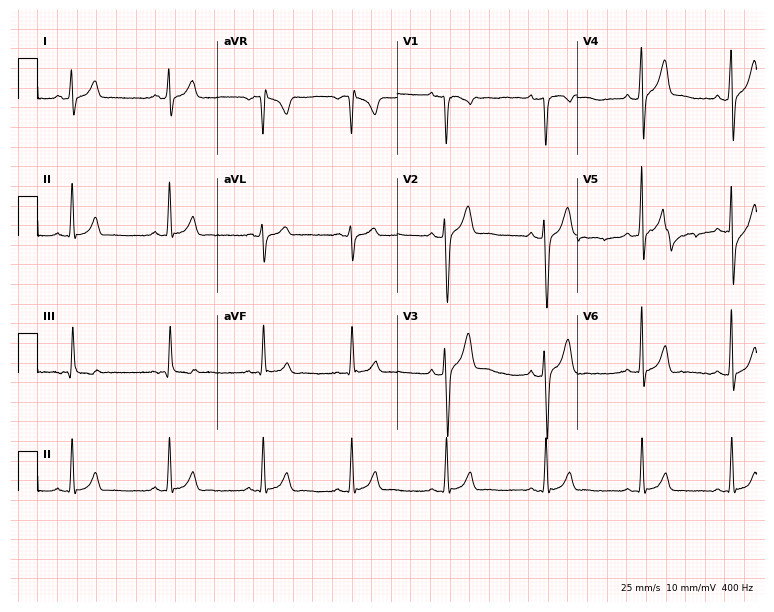
Resting 12-lead electrocardiogram. Patient: a male, 22 years old. None of these six findings is recorded: first-degree AV block, right bundle branch block, left bundle branch block, sinus bradycardia, atrial fibrillation, sinus tachycardia. Other findings, if any, are not listed.